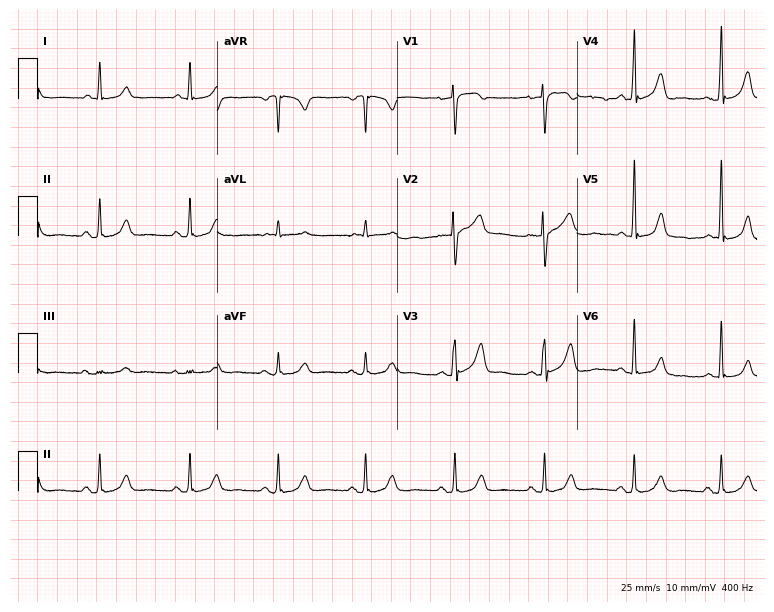
12-lead ECG from a 57-year-old female patient. Recorded interpretation: within normal limits.